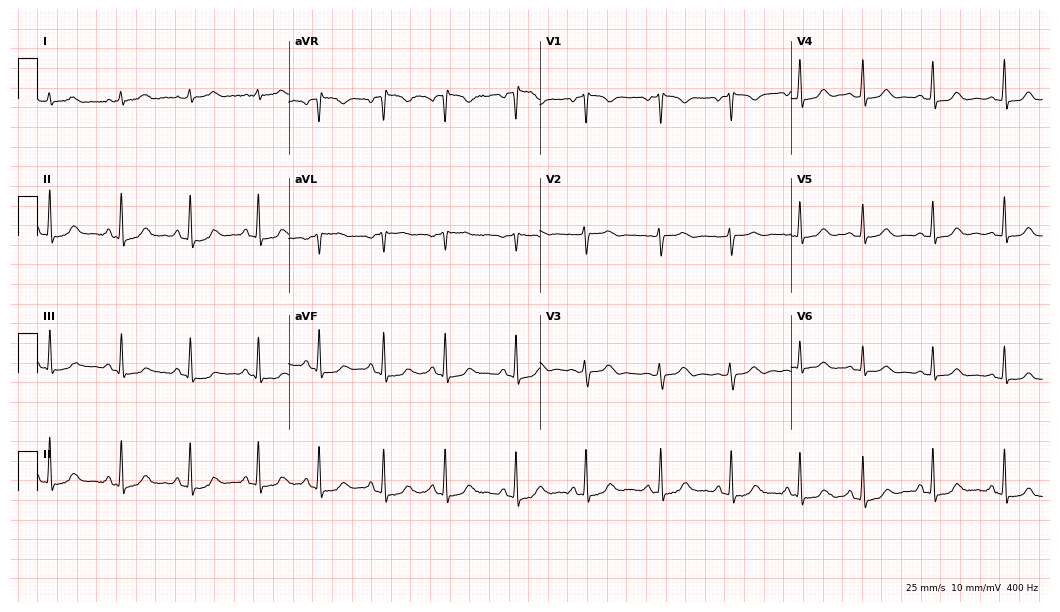
Standard 12-lead ECG recorded from a 38-year-old female patient. Read as a normal ECG.